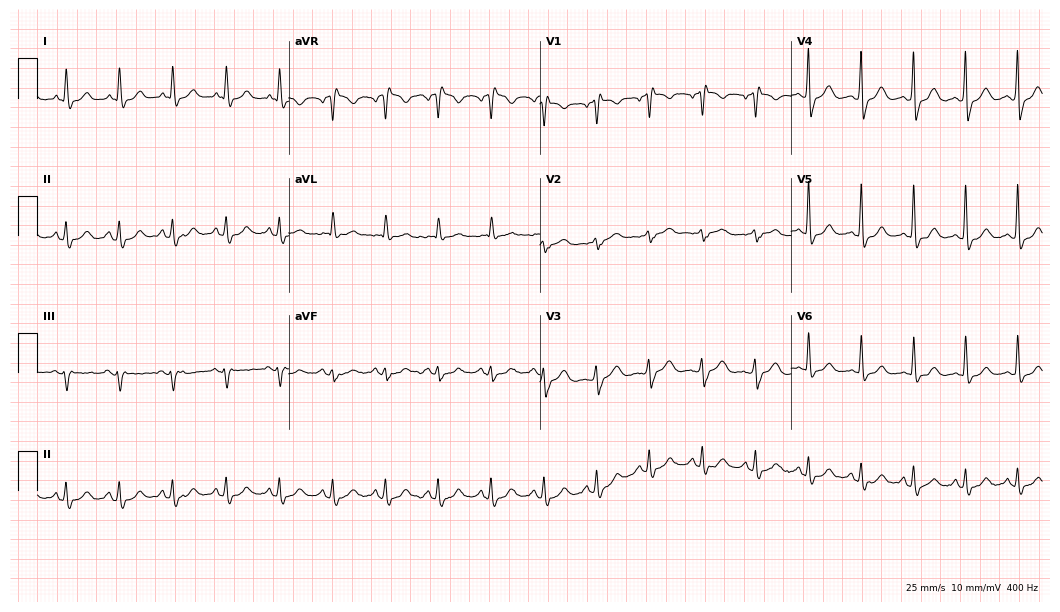
Electrocardiogram (10.2-second recording at 400 Hz), a male patient, 54 years old. Interpretation includes sinus tachycardia (a sinus rate of 100 beats per minute or more).